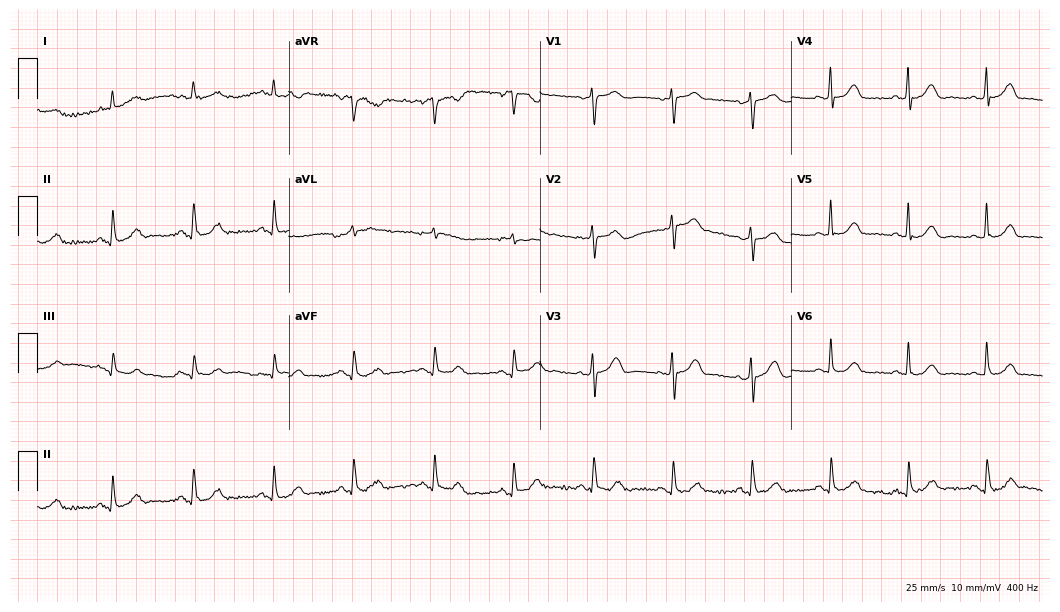
12-lead ECG from an 80-year-old female patient. No first-degree AV block, right bundle branch block (RBBB), left bundle branch block (LBBB), sinus bradycardia, atrial fibrillation (AF) or sinus tachycardia recorded for this tracing.